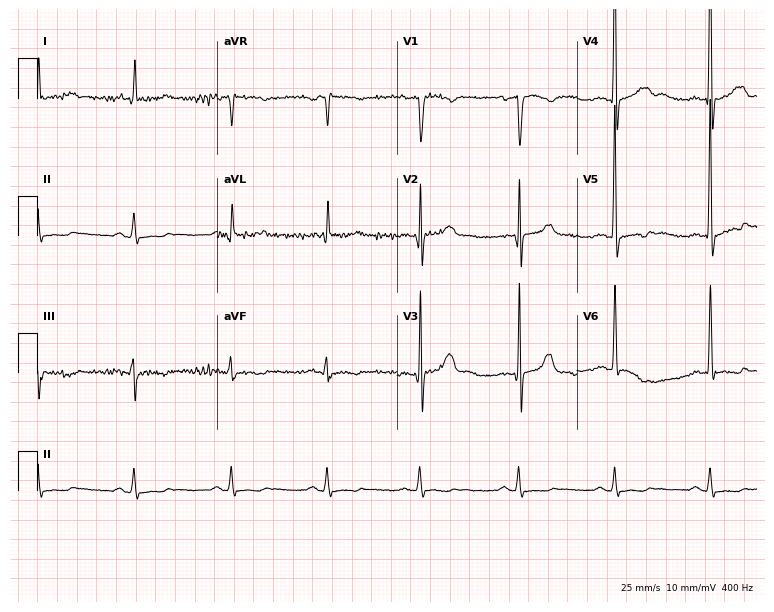
Resting 12-lead electrocardiogram. Patient: a 79-year-old man. Read as a normal ECG.